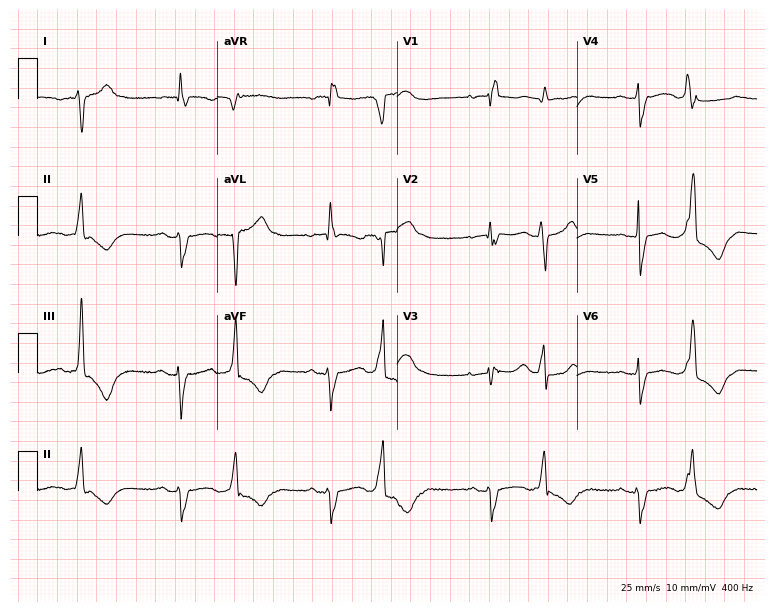
Electrocardiogram, a 55-year-old female patient. Interpretation includes right bundle branch block (RBBB).